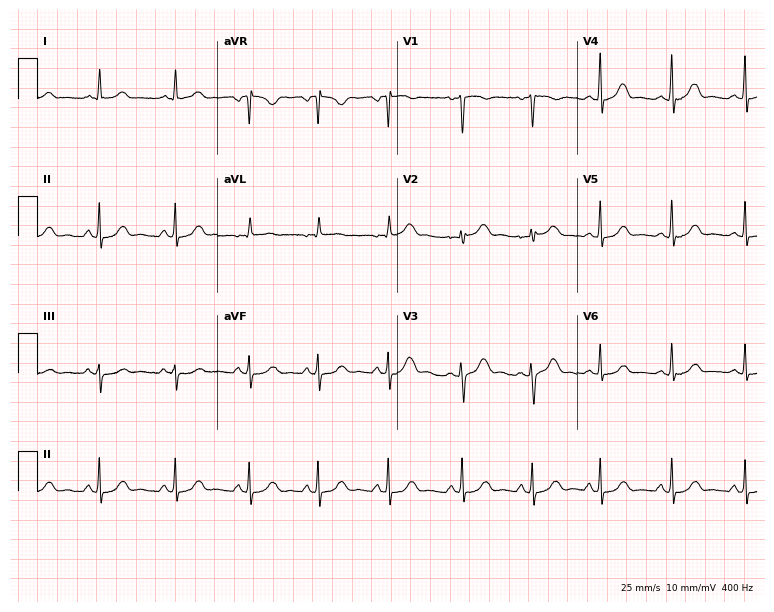
12-lead ECG from a 36-year-old woman. Labelled as a normal ECG.